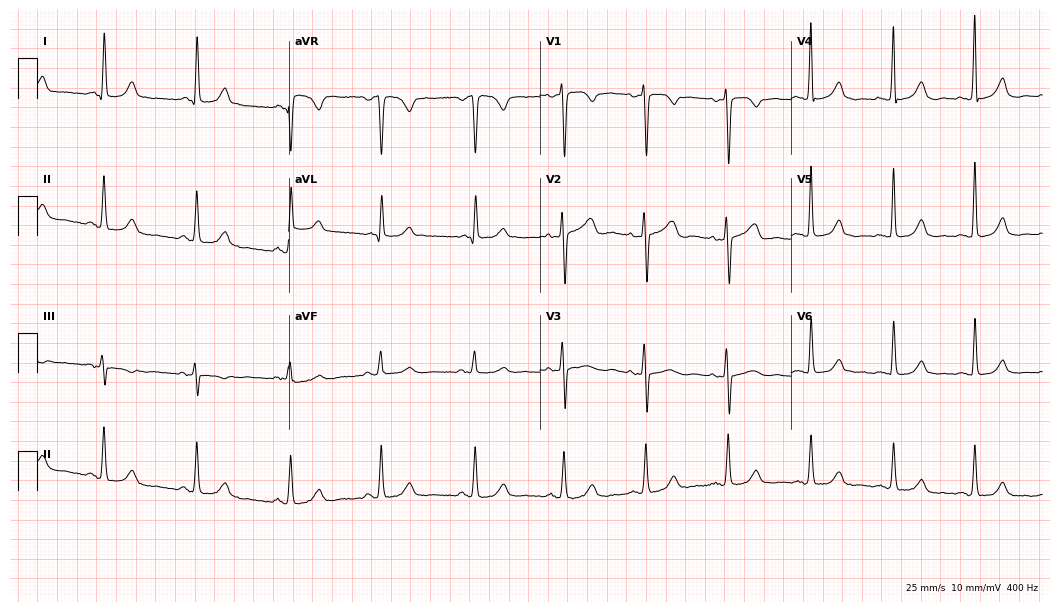
12-lead ECG from a female patient, 69 years old. No first-degree AV block, right bundle branch block (RBBB), left bundle branch block (LBBB), sinus bradycardia, atrial fibrillation (AF) or sinus tachycardia recorded for this tracing.